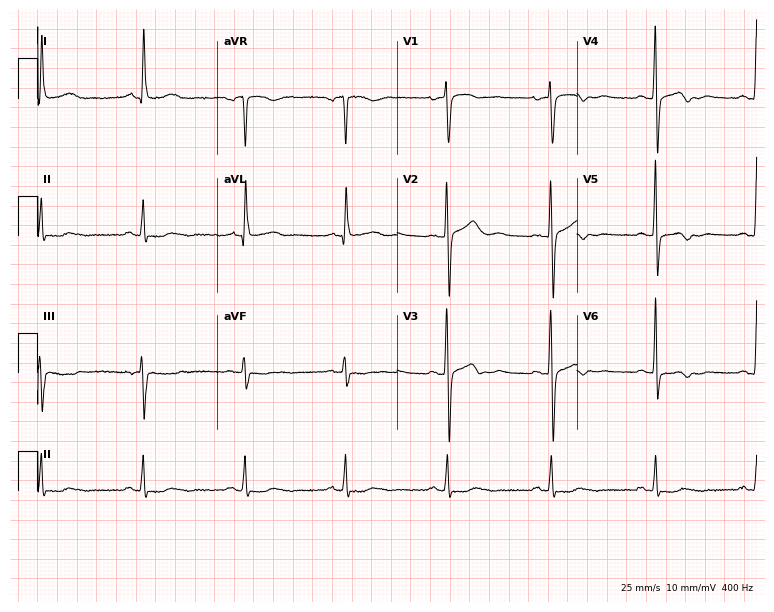
Standard 12-lead ECG recorded from a female patient, 55 years old (7.3-second recording at 400 Hz). None of these six findings is recorded: first-degree AV block, right bundle branch block, left bundle branch block, sinus bradycardia, atrial fibrillation, sinus tachycardia. Findings outside these six are not listed.